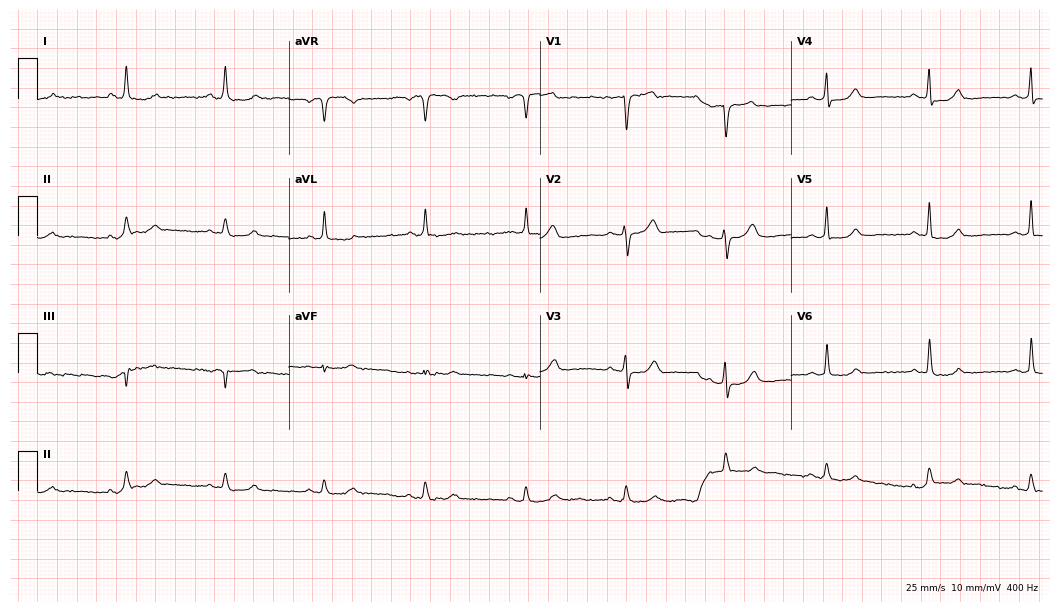
Standard 12-lead ECG recorded from a woman, 73 years old. Read as a normal ECG.